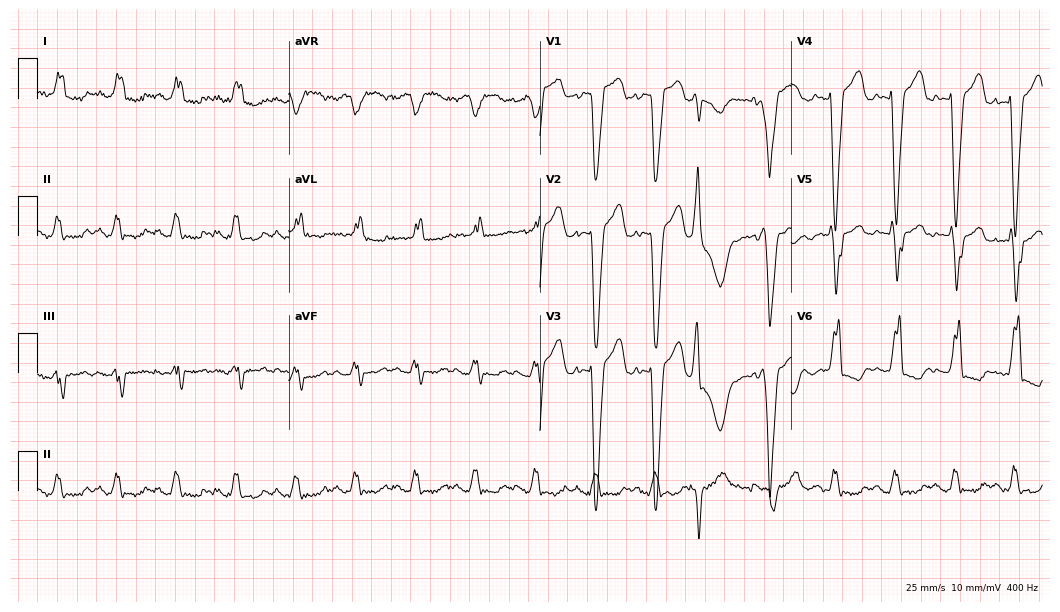
Electrocardiogram (10.2-second recording at 400 Hz), a 73-year-old woman. Interpretation includes left bundle branch block (LBBB).